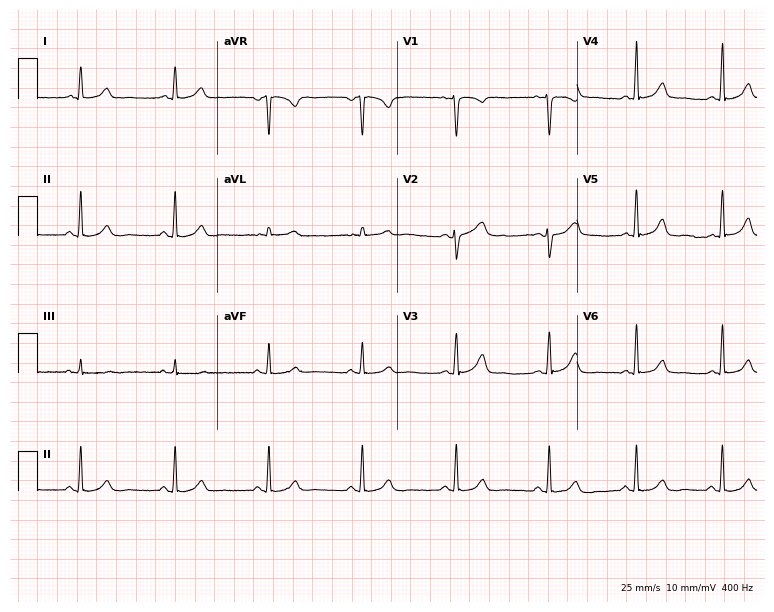
12-lead ECG from a female, 43 years old. No first-degree AV block, right bundle branch block, left bundle branch block, sinus bradycardia, atrial fibrillation or sinus tachycardia recorded for this tracing. Only these six findings were labelled.